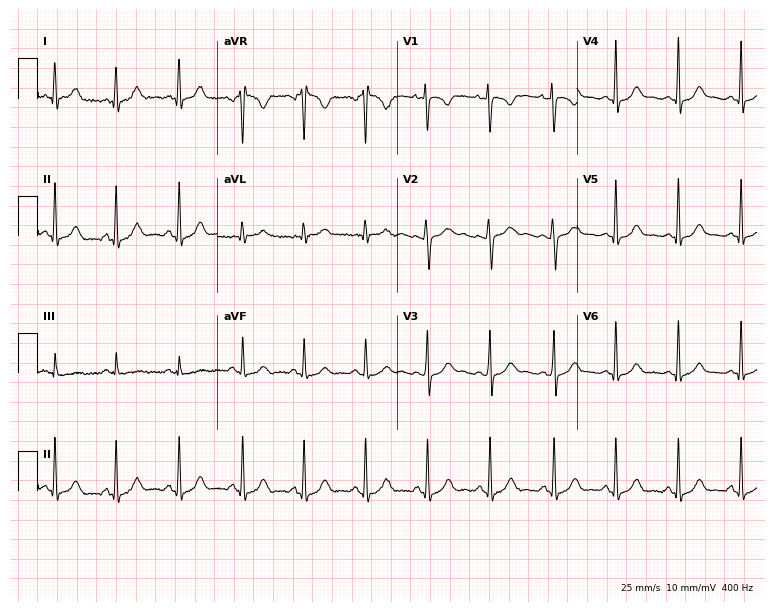
ECG (7.3-second recording at 400 Hz) — a female patient, 30 years old. Labelled as a normal ECG.